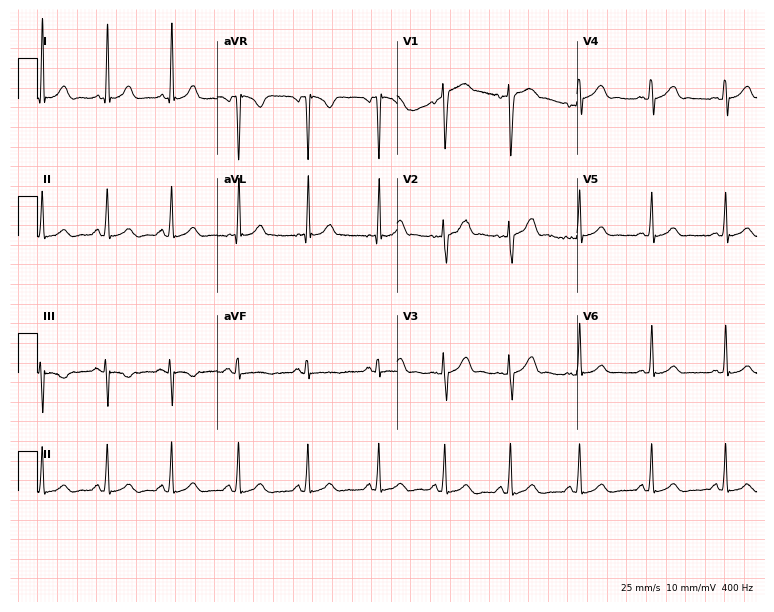
Electrocardiogram, a 29-year-old female. Overall reading on record: normal ECG.